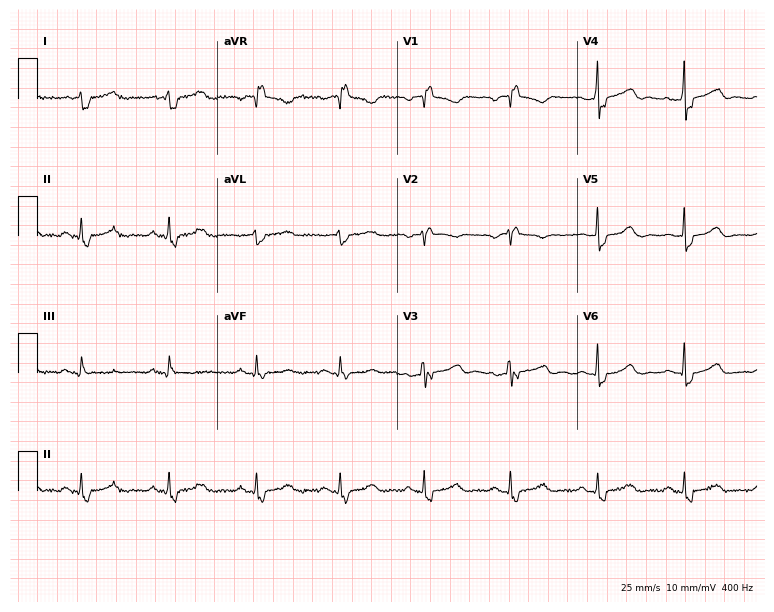
ECG — a female, 48 years old. Findings include right bundle branch block.